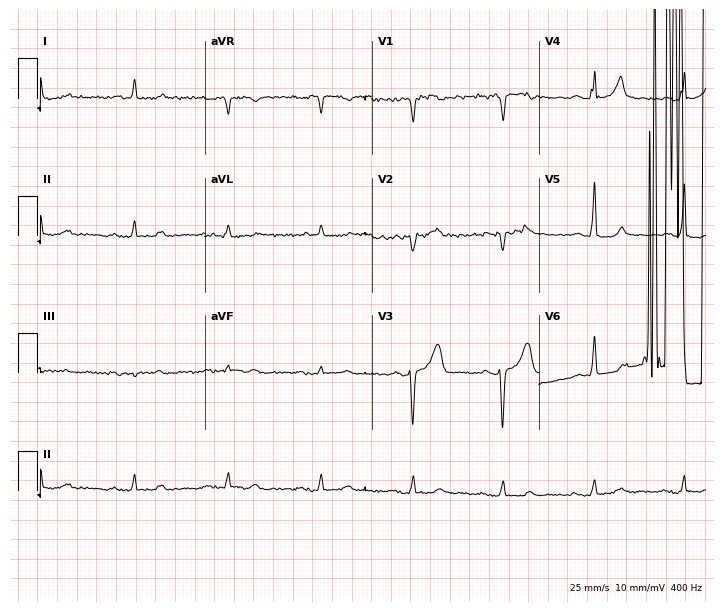
Resting 12-lead electrocardiogram (6.8-second recording at 400 Hz). Patient: a male, 85 years old. None of these six findings is recorded: first-degree AV block, right bundle branch block, left bundle branch block, sinus bradycardia, atrial fibrillation, sinus tachycardia.